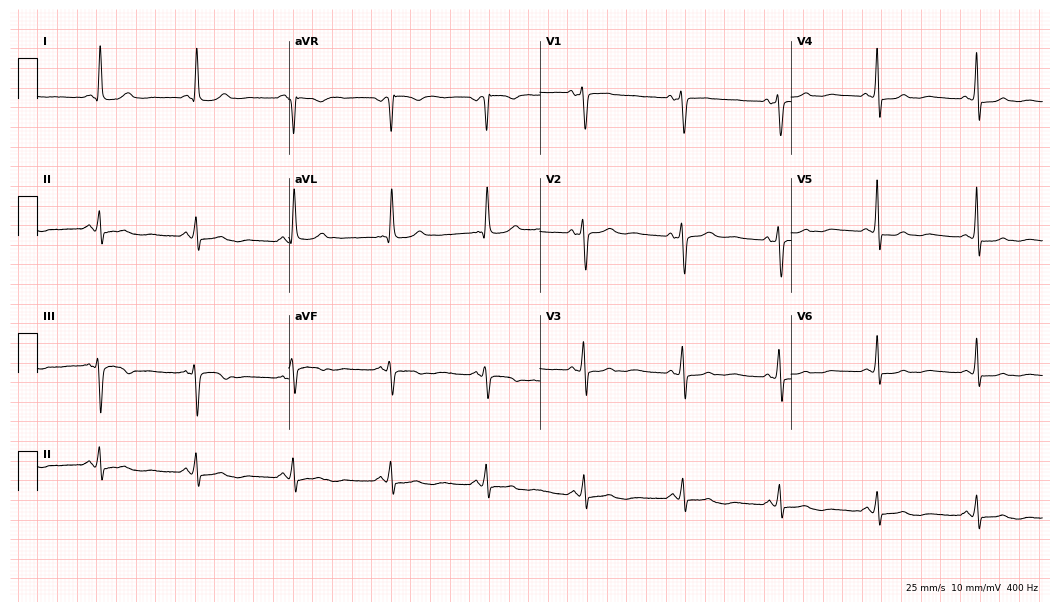
ECG (10.2-second recording at 400 Hz) — a woman, 76 years old. Screened for six findings — first-degree AV block, right bundle branch block, left bundle branch block, sinus bradycardia, atrial fibrillation, sinus tachycardia — none is recorded. Other findings, if any, are not listed.